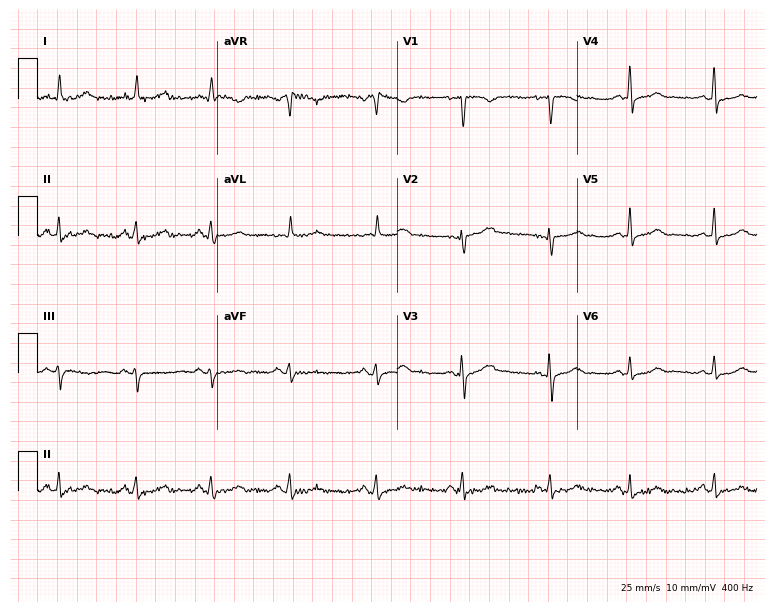
12-lead ECG (7.3-second recording at 400 Hz) from a 35-year-old woman. Labelled as a normal ECG.